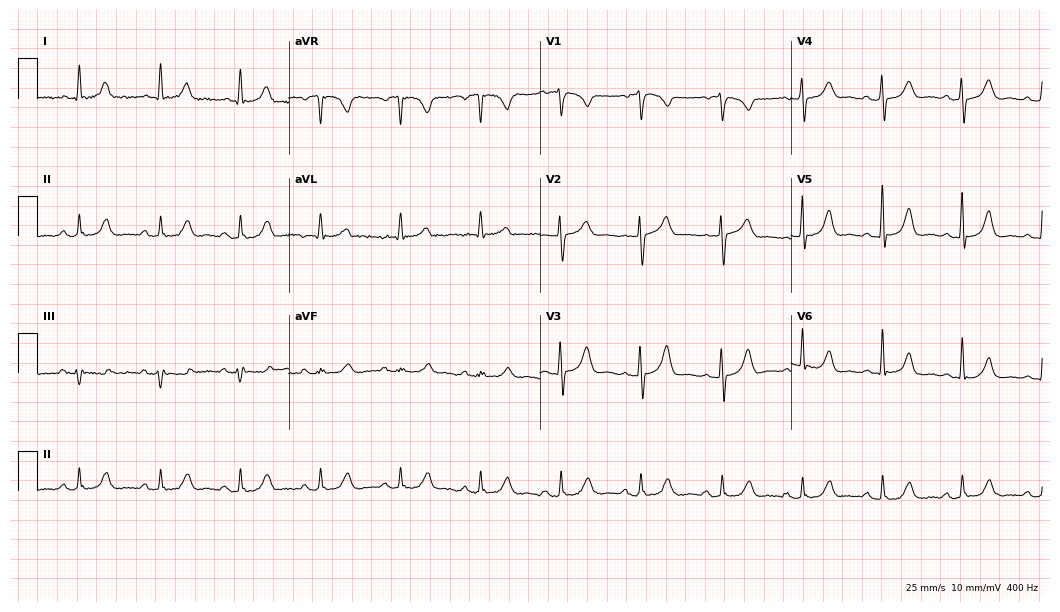
Electrocardiogram, a woman, 69 years old. Overall reading on record: normal ECG.